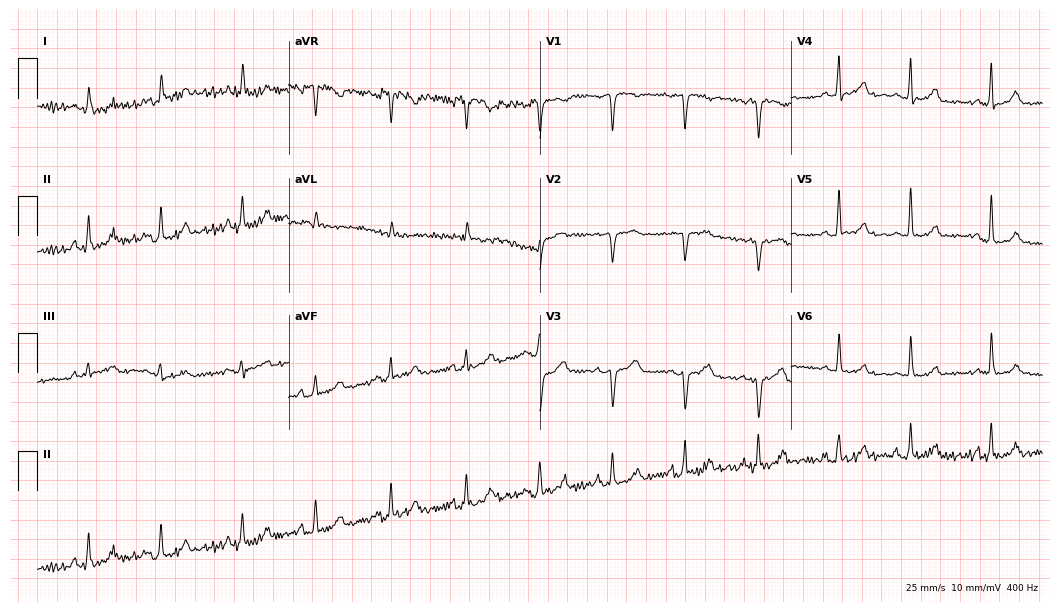
Resting 12-lead electrocardiogram. Patient: a 47-year-old female. None of these six findings is recorded: first-degree AV block, right bundle branch block, left bundle branch block, sinus bradycardia, atrial fibrillation, sinus tachycardia. Only these six findings were labelled.